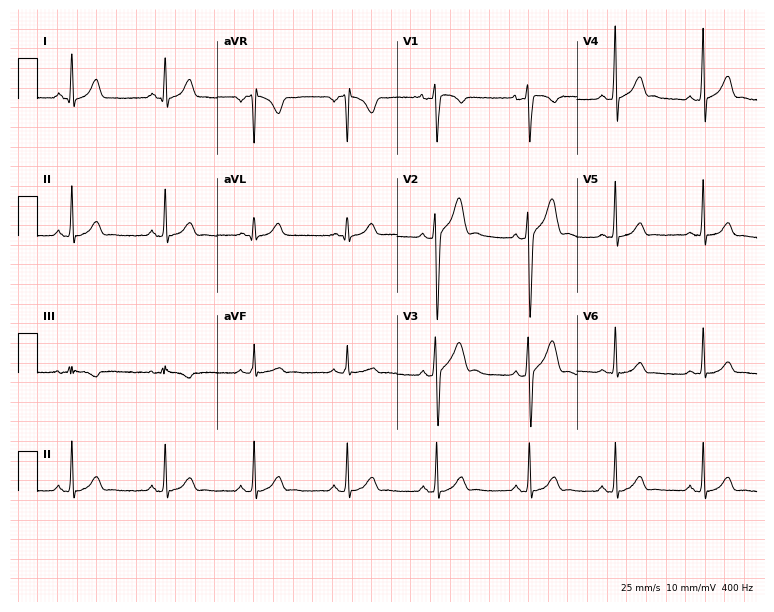
Electrocardiogram, a male, 17 years old. Overall reading on record: normal ECG.